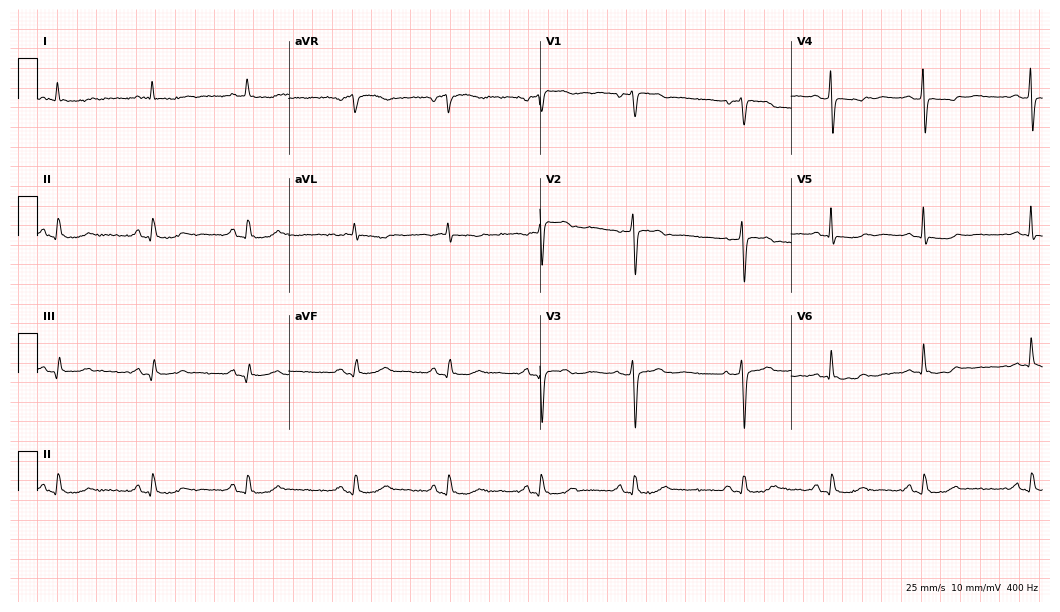
Resting 12-lead electrocardiogram. Patient: a female, 66 years old. None of these six findings is recorded: first-degree AV block, right bundle branch block (RBBB), left bundle branch block (LBBB), sinus bradycardia, atrial fibrillation (AF), sinus tachycardia. Only these six findings were labelled.